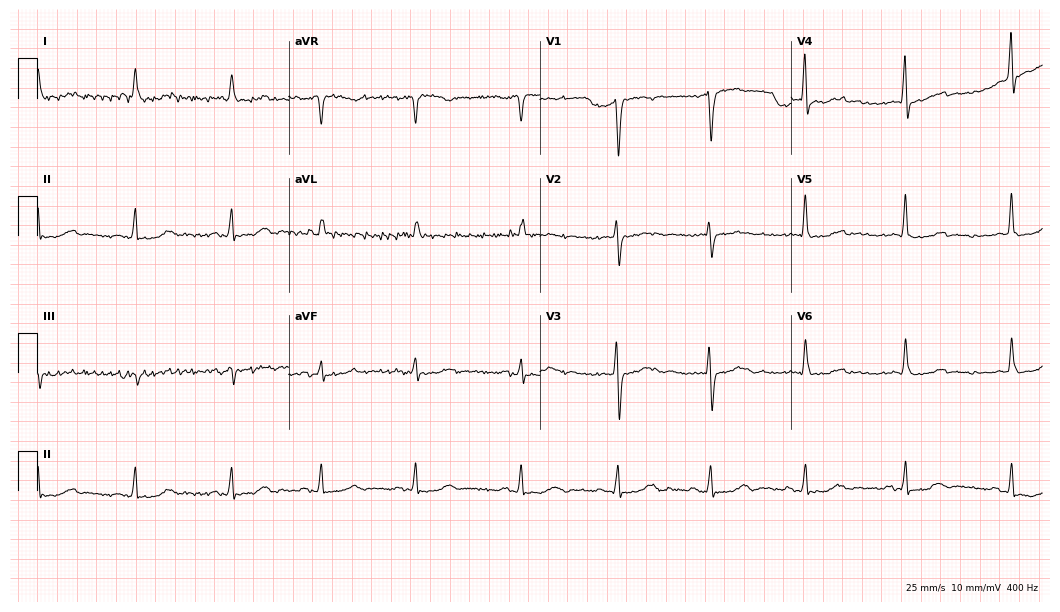
12-lead ECG (10.2-second recording at 400 Hz) from a male patient, 57 years old. Screened for six findings — first-degree AV block, right bundle branch block, left bundle branch block, sinus bradycardia, atrial fibrillation, sinus tachycardia — none is recorded. Only these six findings were labelled.